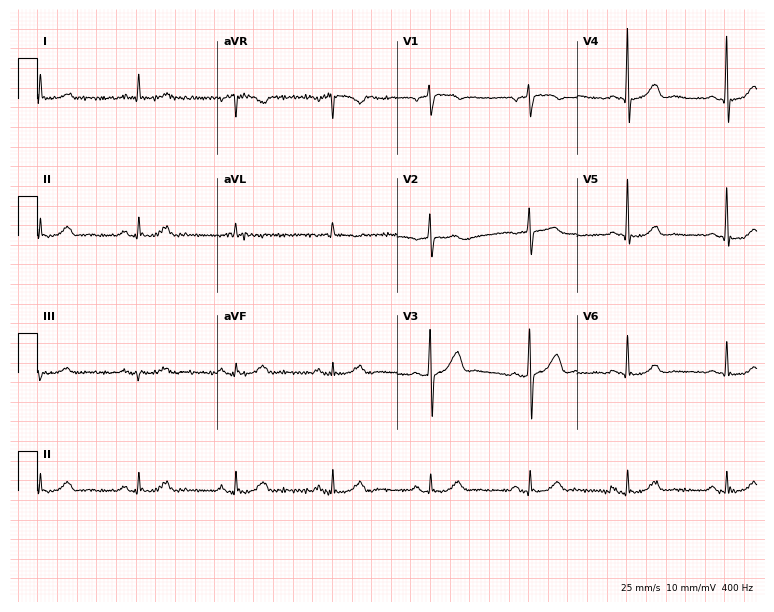
12-lead ECG from a 72-year-old male (7.3-second recording at 400 Hz). Recorded interpretation: within normal limits.